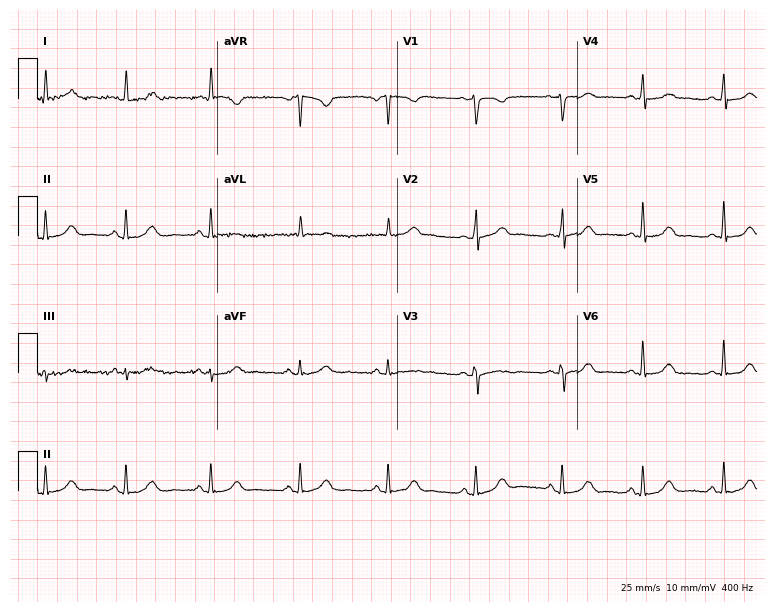
Resting 12-lead electrocardiogram (7.3-second recording at 400 Hz). Patient: a woman, 55 years old. Read as a normal ECG.